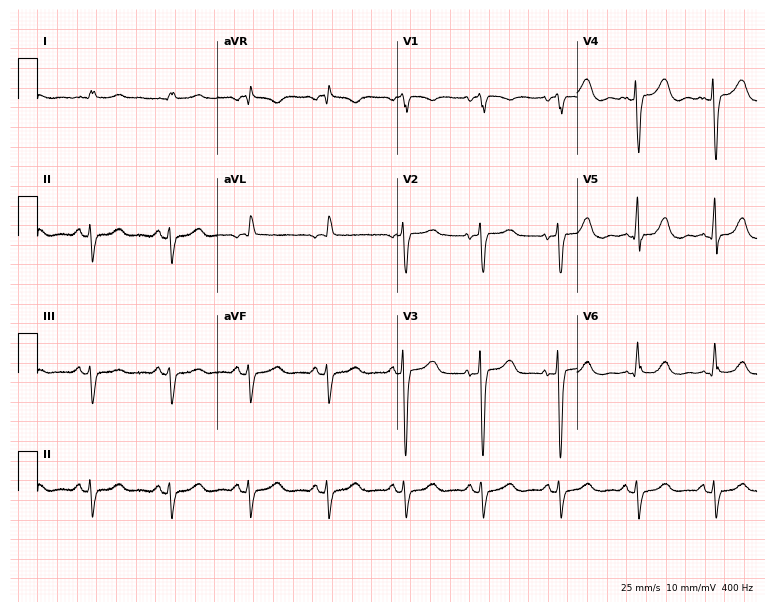
12-lead ECG from an 81-year-old male (7.3-second recording at 400 Hz). No first-degree AV block, right bundle branch block (RBBB), left bundle branch block (LBBB), sinus bradycardia, atrial fibrillation (AF) or sinus tachycardia recorded for this tracing.